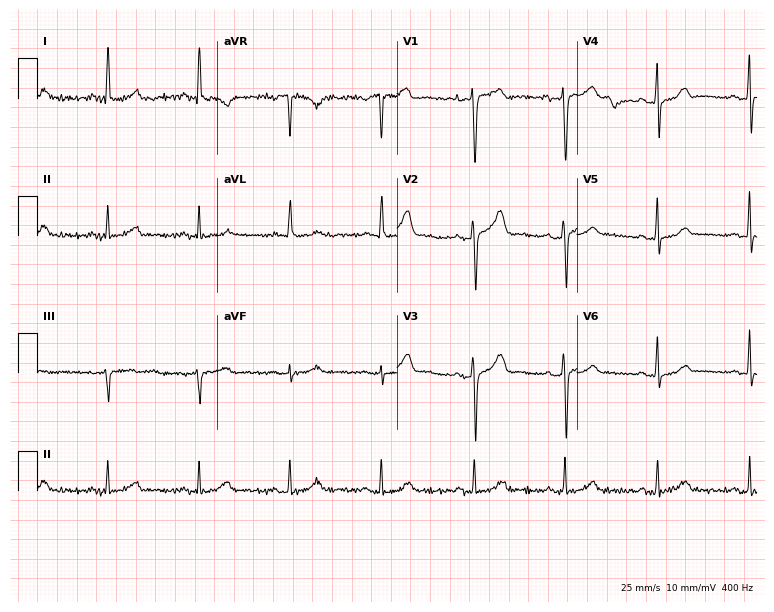
Resting 12-lead electrocardiogram. Patient: a 45-year-old woman. None of these six findings is recorded: first-degree AV block, right bundle branch block, left bundle branch block, sinus bradycardia, atrial fibrillation, sinus tachycardia. Findings outside these six are not listed.